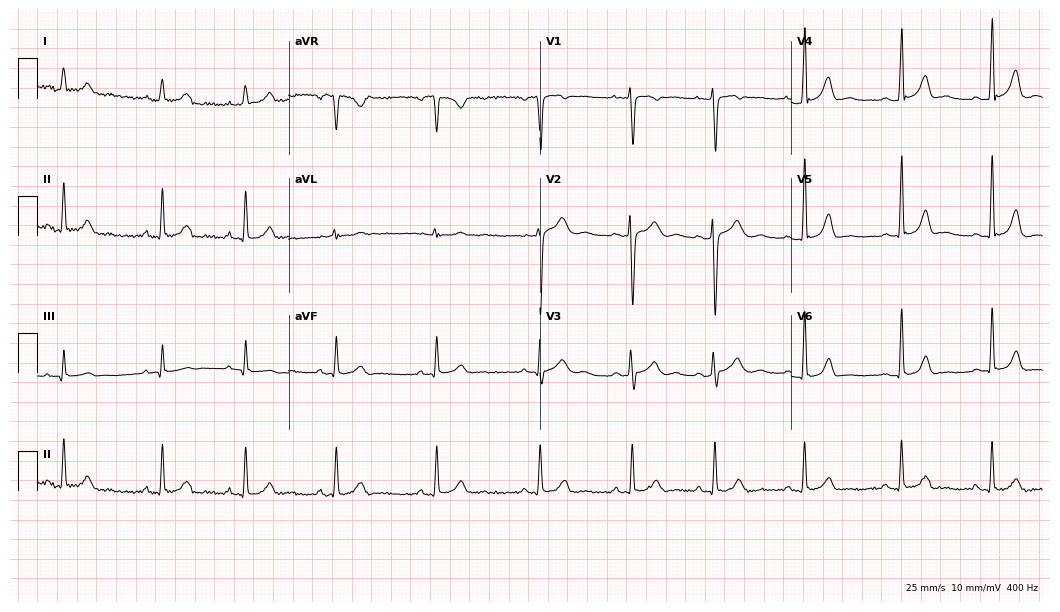
12-lead ECG from a woman, 17 years old (10.2-second recording at 400 Hz). Recorded interpretation: within normal limits.